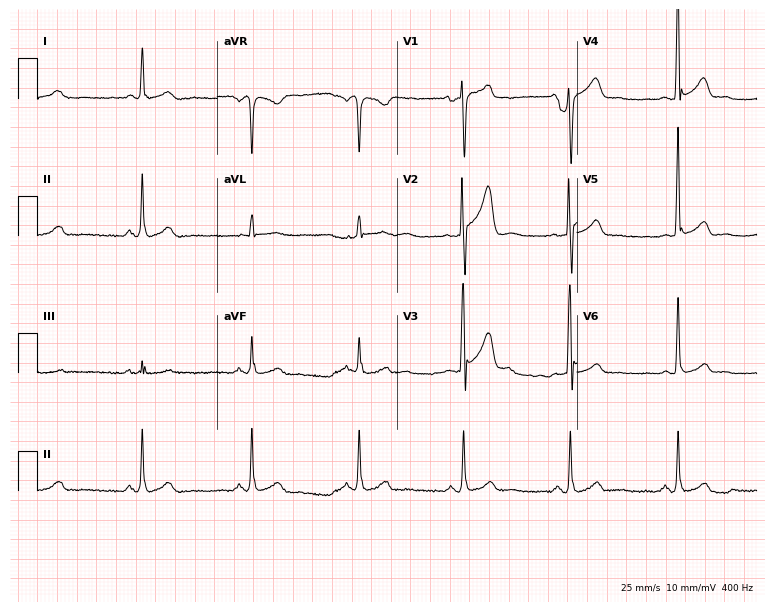
12-lead ECG from a male patient, 50 years old (7.3-second recording at 400 Hz). No first-degree AV block, right bundle branch block (RBBB), left bundle branch block (LBBB), sinus bradycardia, atrial fibrillation (AF) or sinus tachycardia recorded for this tracing.